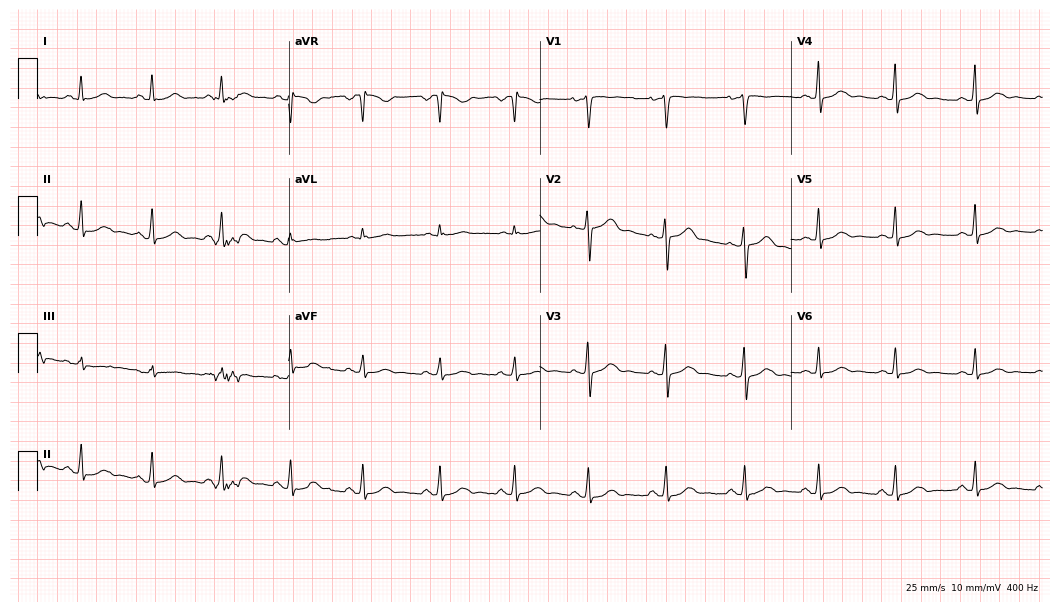
12-lead ECG (10.2-second recording at 400 Hz) from a woman, 40 years old. Labelled as a normal ECG.